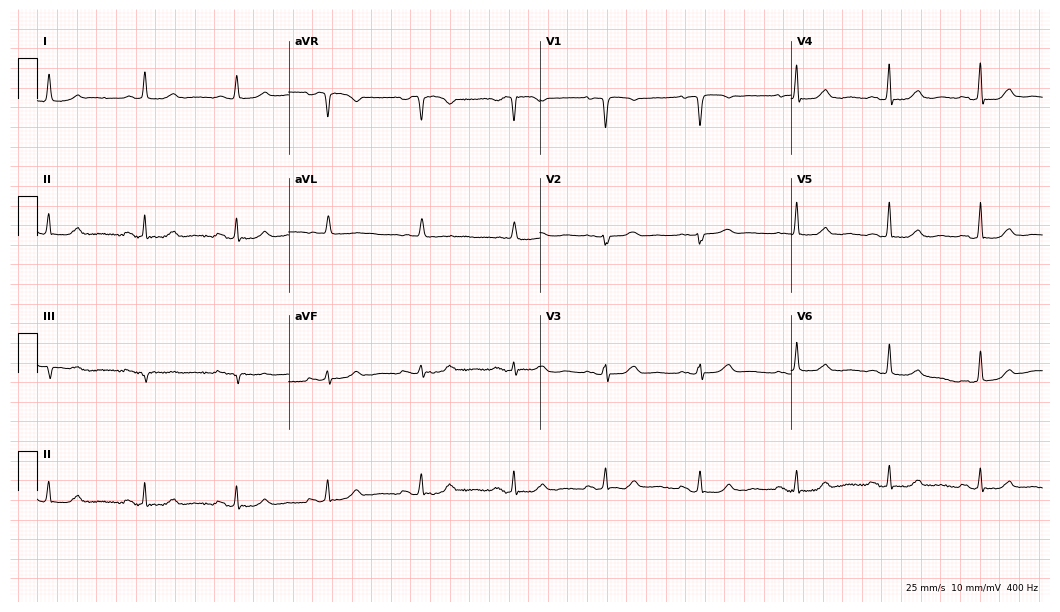
ECG (10.2-second recording at 400 Hz) — a 74-year-old female patient. Labelled as a normal ECG.